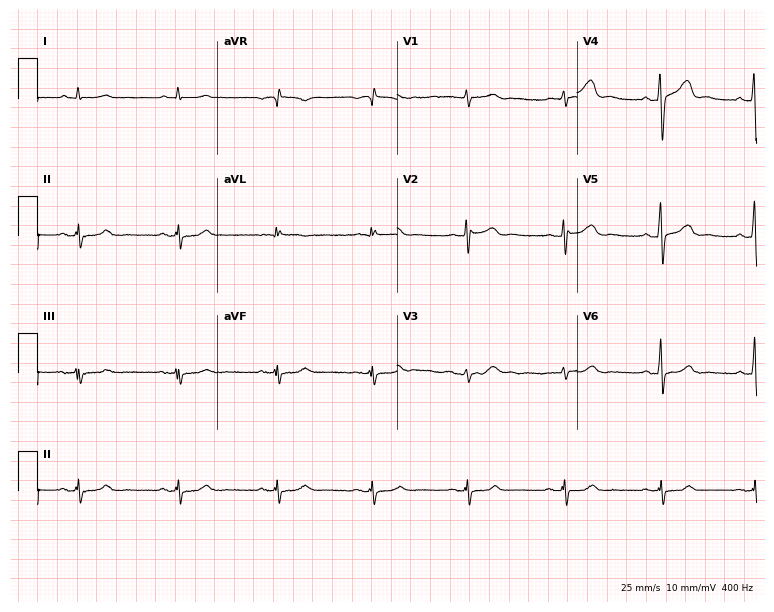
Resting 12-lead electrocardiogram (7.3-second recording at 400 Hz). Patient: a 48-year-old male. None of these six findings is recorded: first-degree AV block, right bundle branch block (RBBB), left bundle branch block (LBBB), sinus bradycardia, atrial fibrillation (AF), sinus tachycardia.